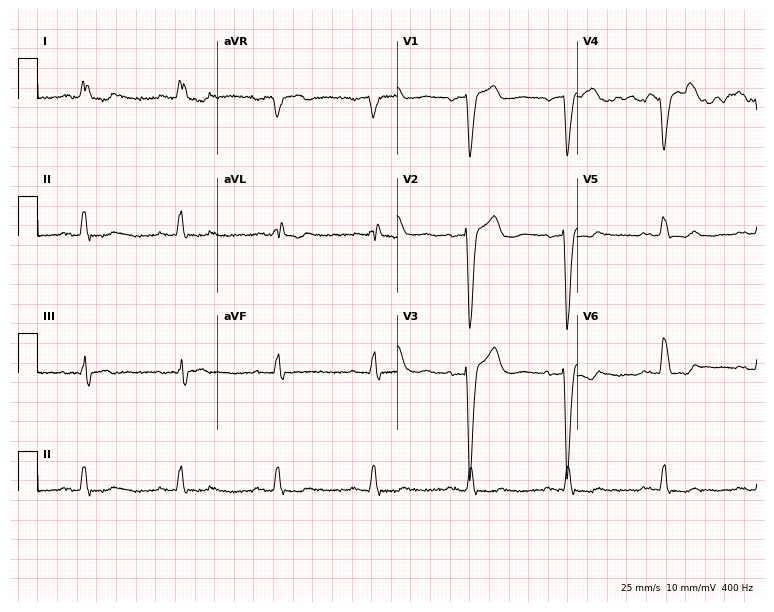
Standard 12-lead ECG recorded from a female, 86 years old (7.3-second recording at 400 Hz). The tracing shows left bundle branch block.